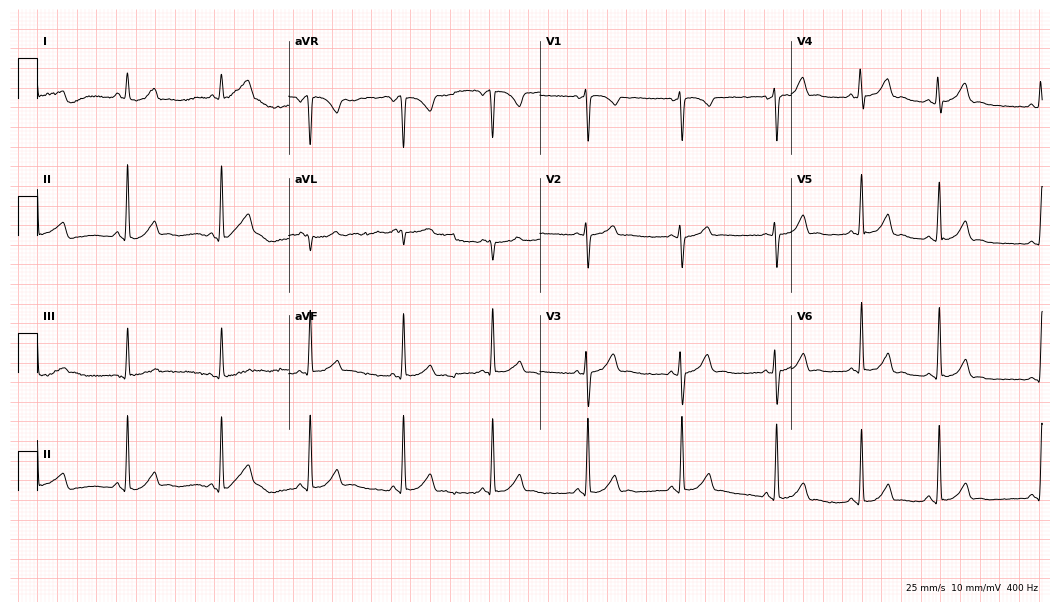
12-lead ECG from a female patient, 18 years old. Labelled as a normal ECG.